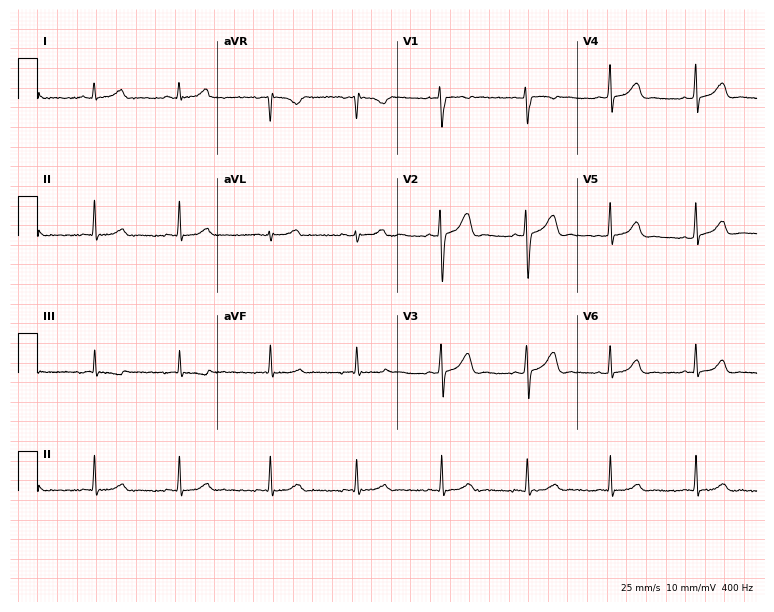
Electrocardiogram (7.3-second recording at 400 Hz), a woman, 23 years old. Overall reading on record: normal ECG.